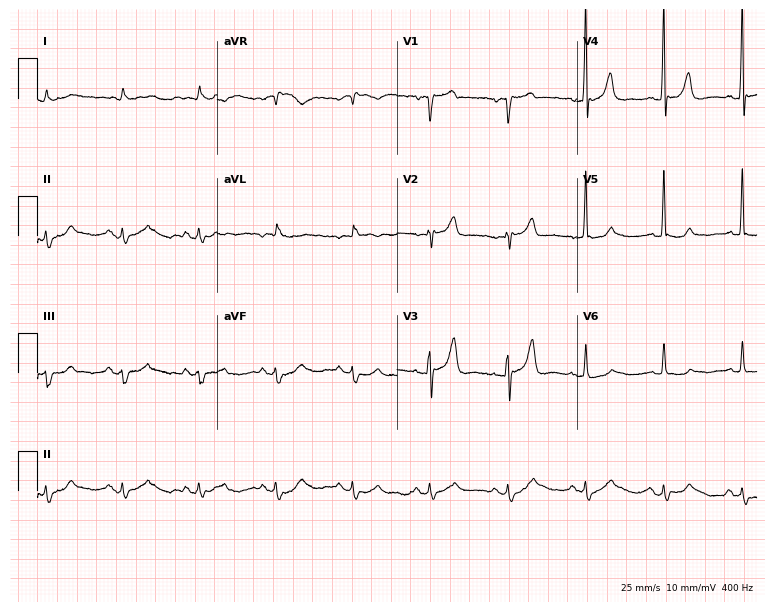
Resting 12-lead electrocardiogram. Patient: a male, 75 years old. None of these six findings is recorded: first-degree AV block, right bundle branch block, left bundle branch block, sinus bradycardia, atrial fibrillation, sinus tachycardia. Findings outside these six are not listed.